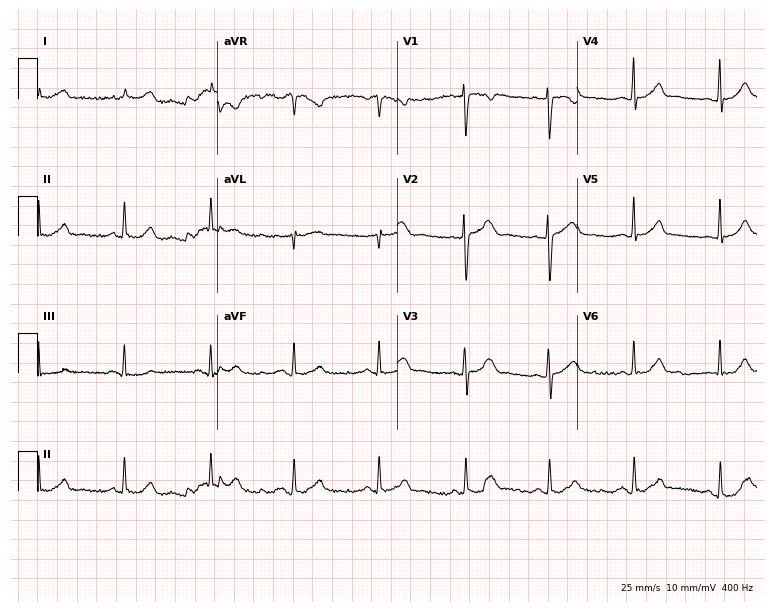
ECG (7.3-second recording at 400 Hz) — a female patient, 34 years old. Labelled as a normal ECG.